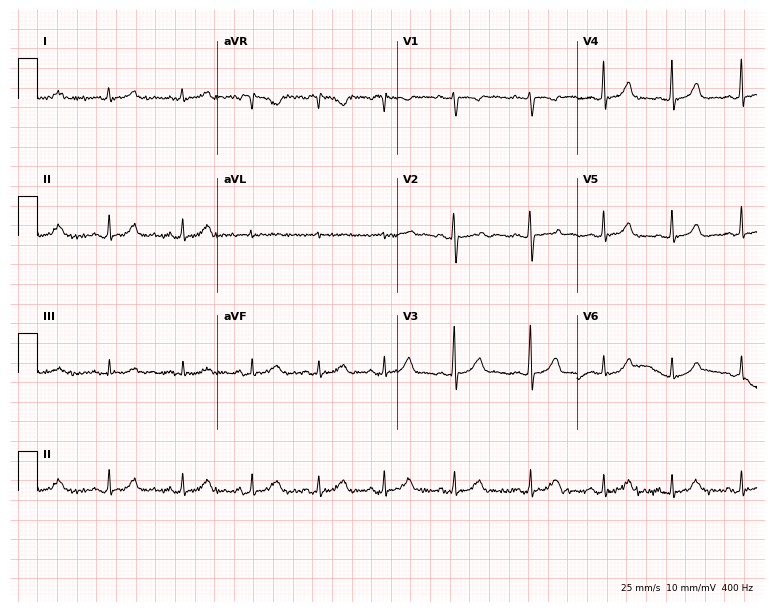
Standard 12-lead ECG recorded from a male, 18 years old (7.3-second recording at 400 Hz). None of these six findings is recorded: first-degree AV block, right bundle branch block, left bundle branch block, sinus bradycardia, atrial fibrillation, sinus tachycardia.